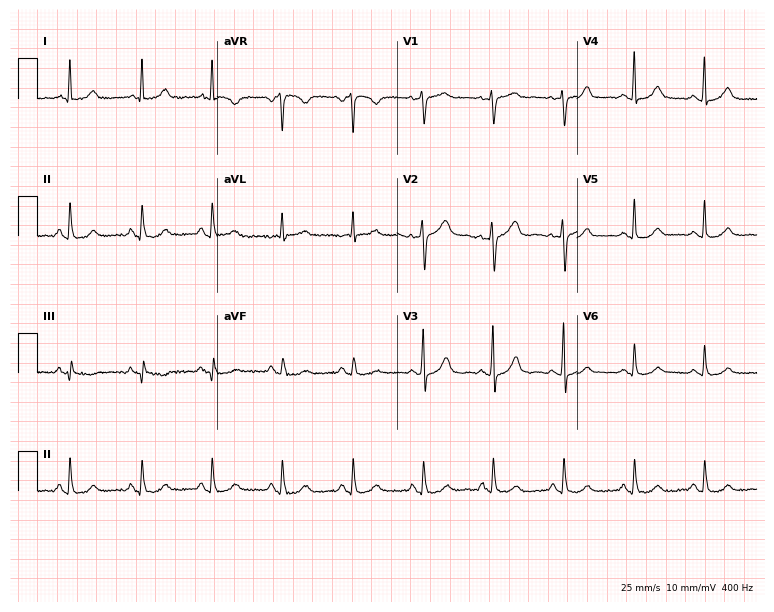
12-lead ECG from a female, 67 years old. Screened for six findings — first-degree AV block, right bundle branch block (RBBB), left bundle branch block (LBBB), sinus bradycardia, atrial fibrillation (AF), sinus tachycardia — none is recorded.